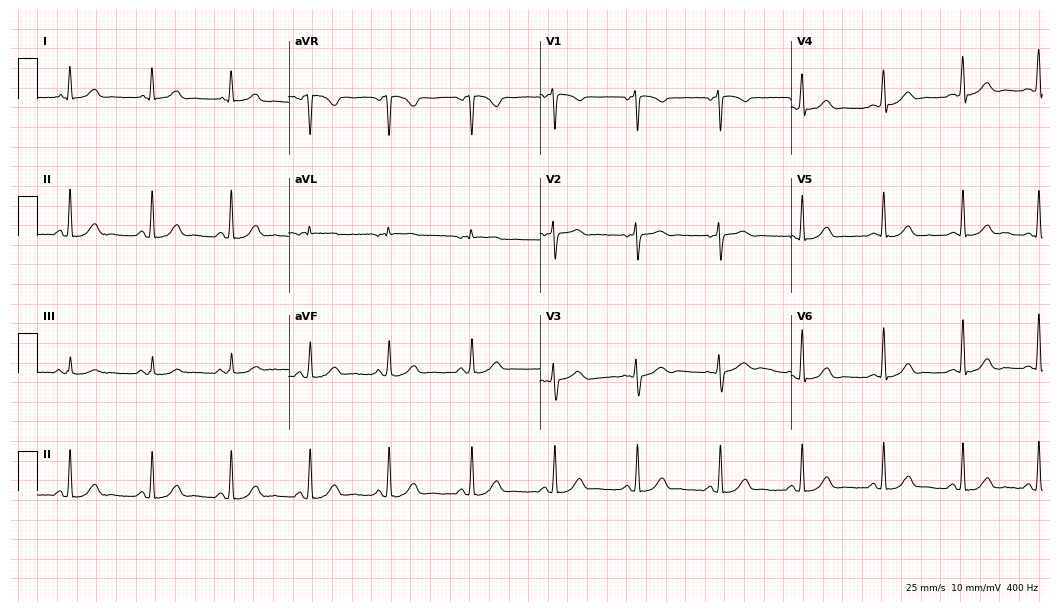
12-lead ECG from a woman, 50 years old. Labelled as a normal ECG.